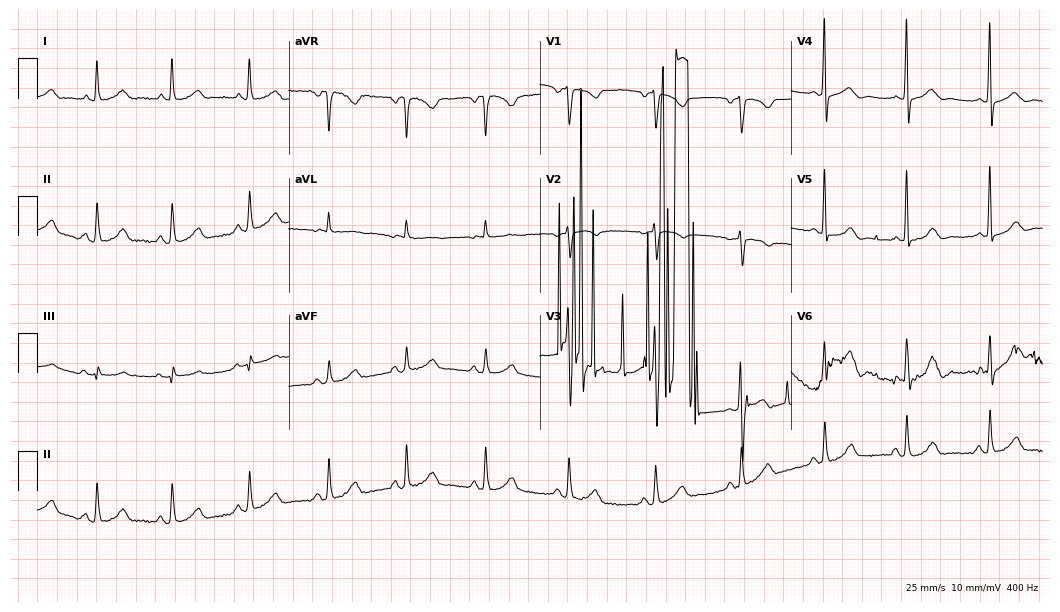
Standard 12-lead ECG recorded from a woman, 62 years old. Read as a normal ECG.